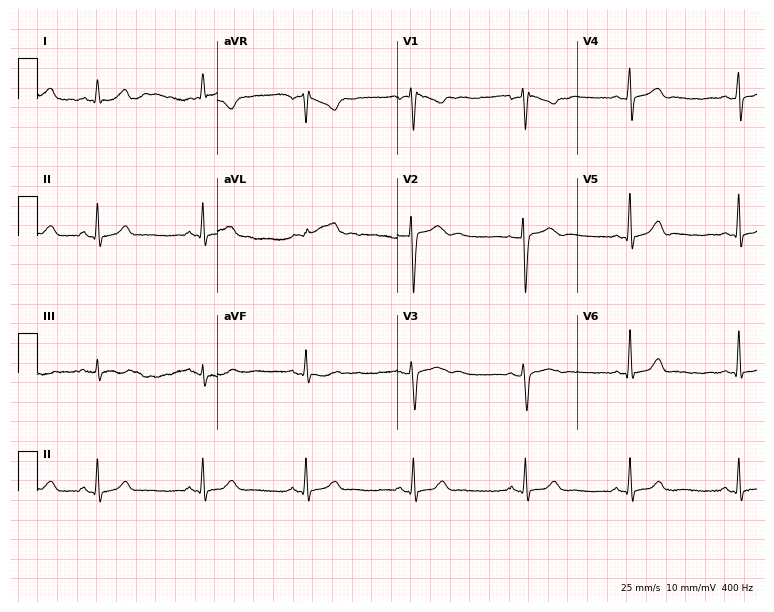
12-lead ECG (7.3-second recording at 400 Hz) from a 20-year-old female patient. Labelled as a normal ECG.